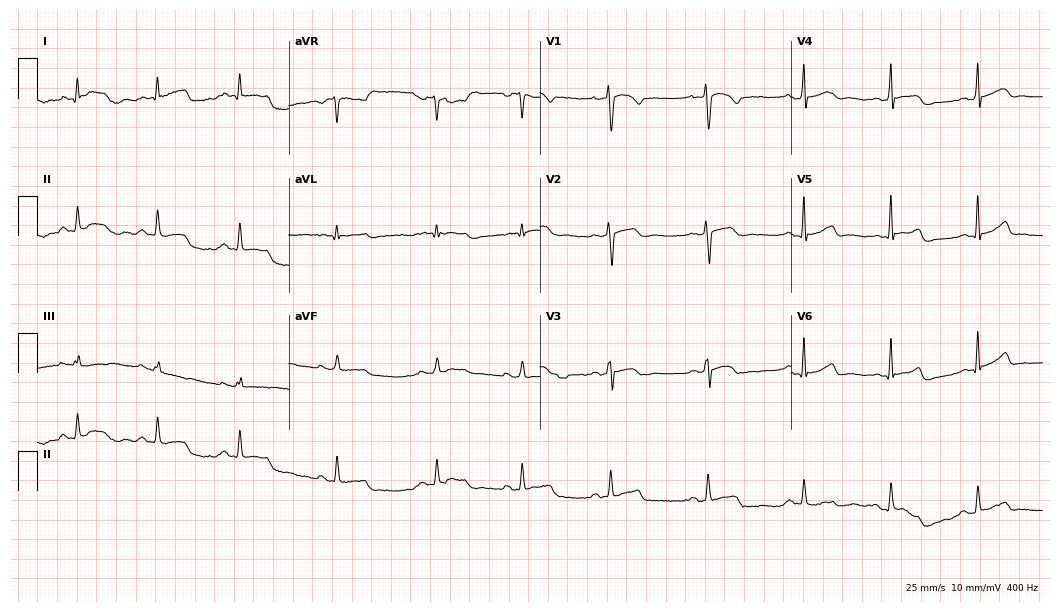
Electrocardiogram, a woman, 30 years old. Of the six screened findings (first-degree AV block, right bundle branch block (RBBB), left bundle branch block (LBBB), sinus bradycardia, atrial fibrillation (AF), sinus tachycardia), none is recorded.